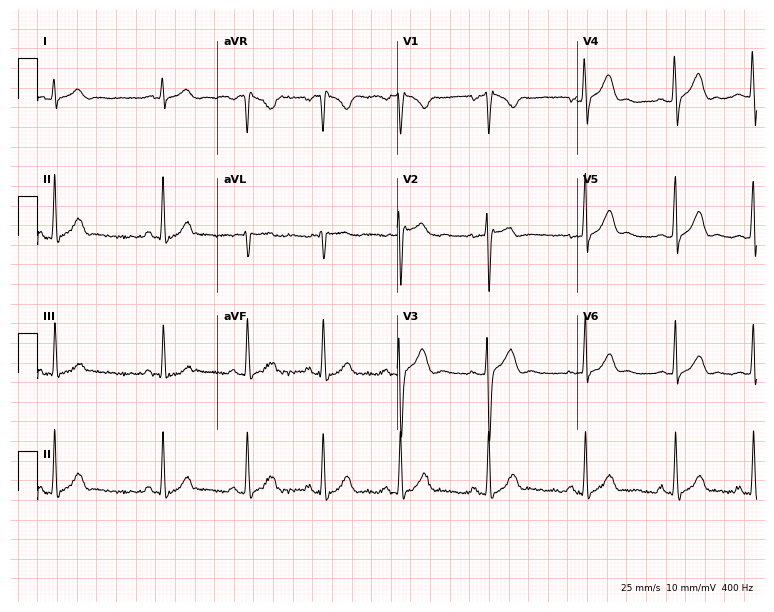
Standard 12-lead ECG recorded from a 25-year-old male patient. Read as a normal ECG.